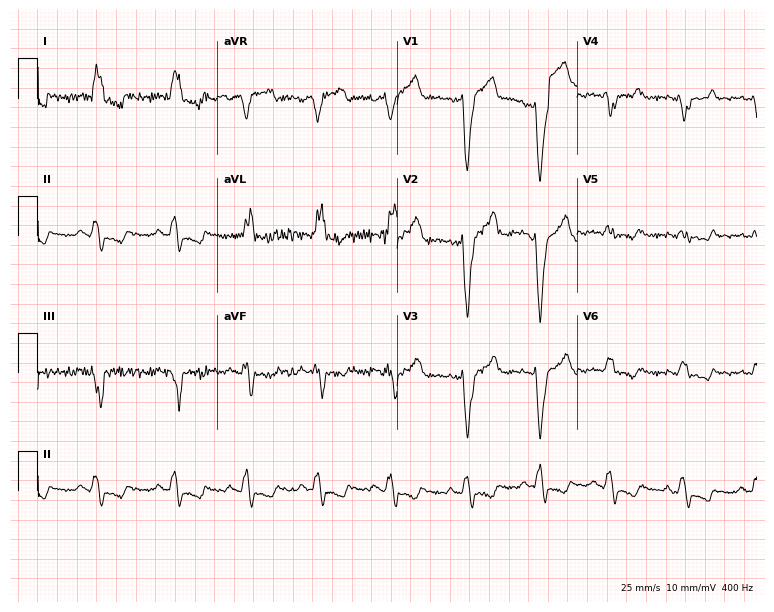
Standard 12-lead ECG recorded from a female, 59 years old (7.3-second recording at 400 Hz). None of these six findings is recorded: first-degree AV block, right bundle branch block (RBBB), left bundle branch block (LBBB), sinus bradycardia, atrial fibrillation (AF), sinus tachycardia.